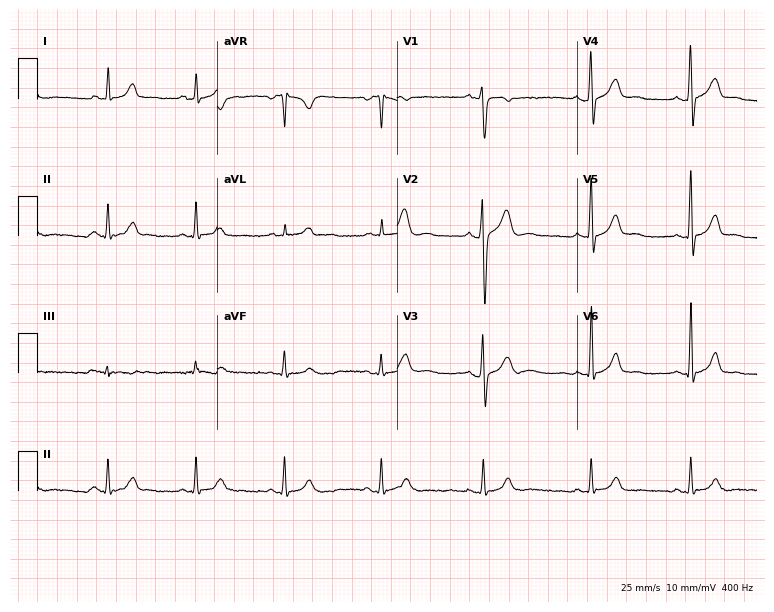
ECG — a male, 27 years old. Labelled as a normal ECG.